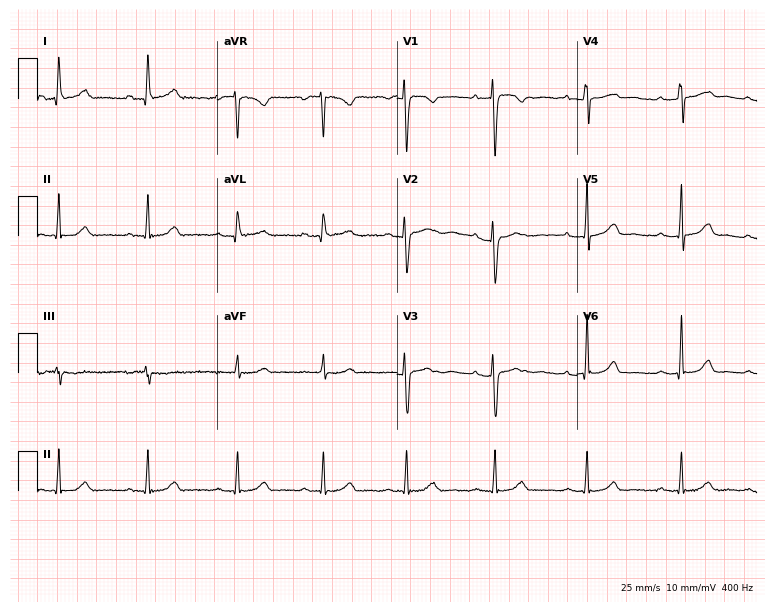
12-lead ECG from a female patient, 38 years old (7.3-second recording at 400 Hz). Recorded interpretation: within normal limits.